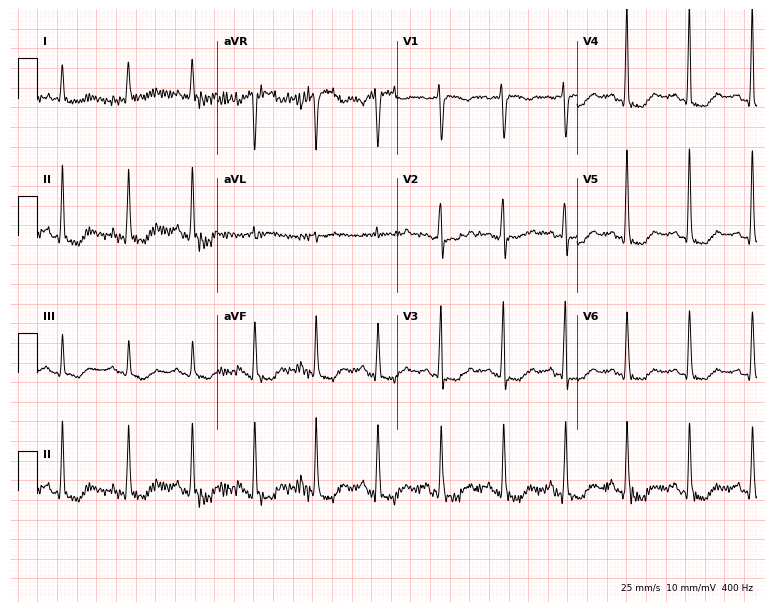
ECG — a 65-year-old woman. Screened for six findings — first-degree AV block, right bundle branch block, left bundle branch block, sinus bradycardia, atrial fibrillation, sinus tachycardia — none is recorded. Findings outside these six are not listed.